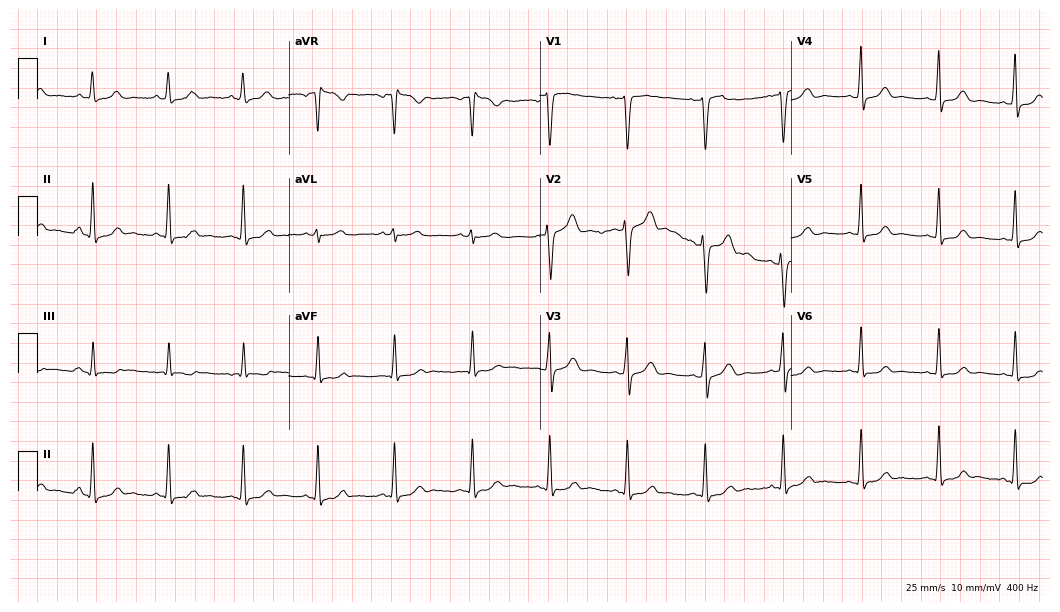
Standard 12-lead ECG recorded from a female, 44 years old (10.2-second recording at 400 Hz). Read as a normal ECG.